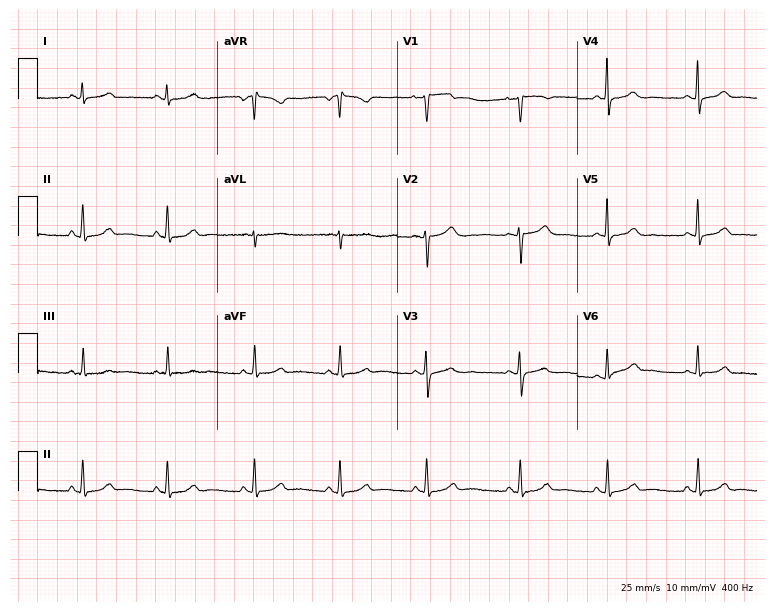
12-lead ECG from a female, 41 years old. Labelled as a normal ECG.